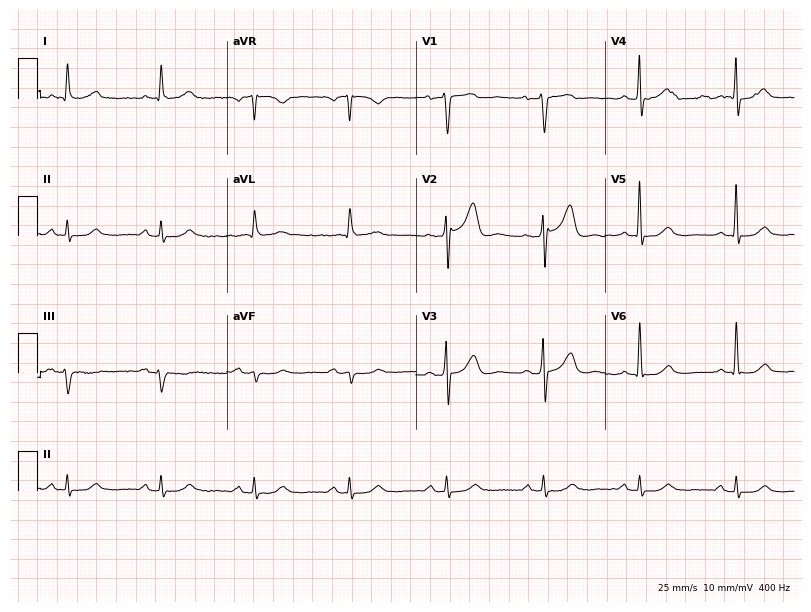
12-lead ECG from a man, 74 years old. No first-degree AV block, right bundle branch block, left bundle branch block, sinus bradycardia, atrial fibrillation or sinus tachycardia recorded for this tracing. Findings outside these six are not listed.